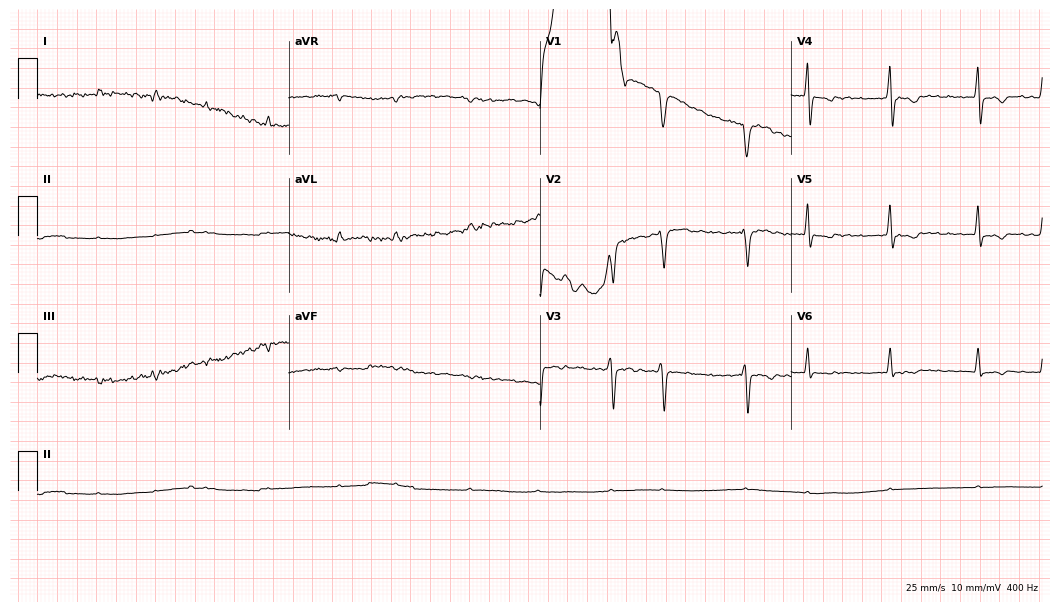
Resting 12-lead electrocardiogram. Patient: a man, 56 years old. None of these six findings is recorded: first-degree AV block, right bundle branch block (RBBB), left bundle branch block (LBBB), sinus bradycardia, atrial fibrillation (AF), sinus tachycardia.